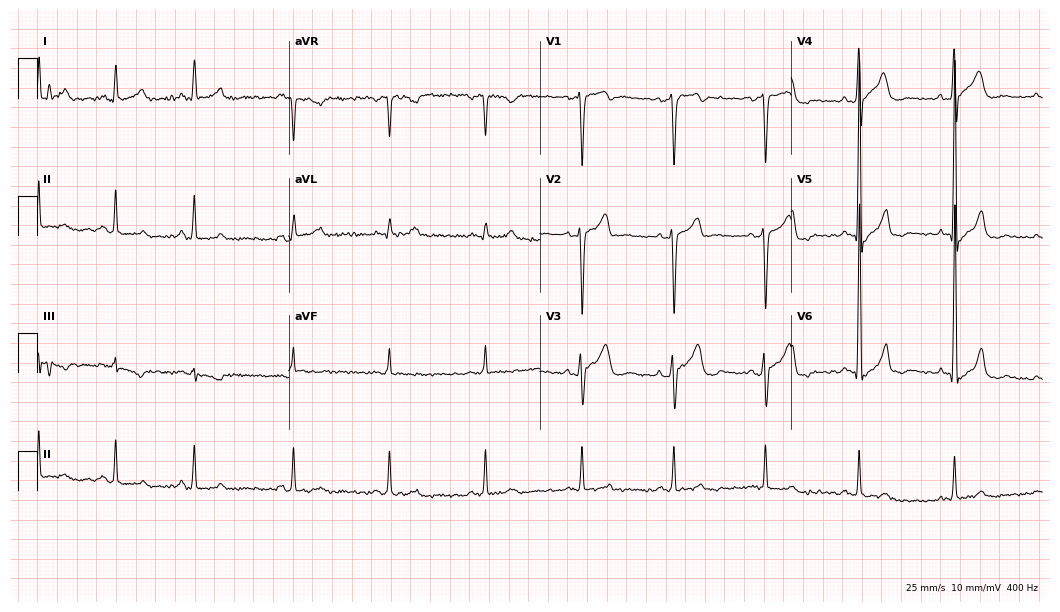
Standard 12-lead ECG recorded from a 37-year-old male. None of these six findings is recorded: first-degree AV block, right bundle branch block, left bundle branch block, sinus bradycardia, atrial fibrillation, sinus tachycardia.